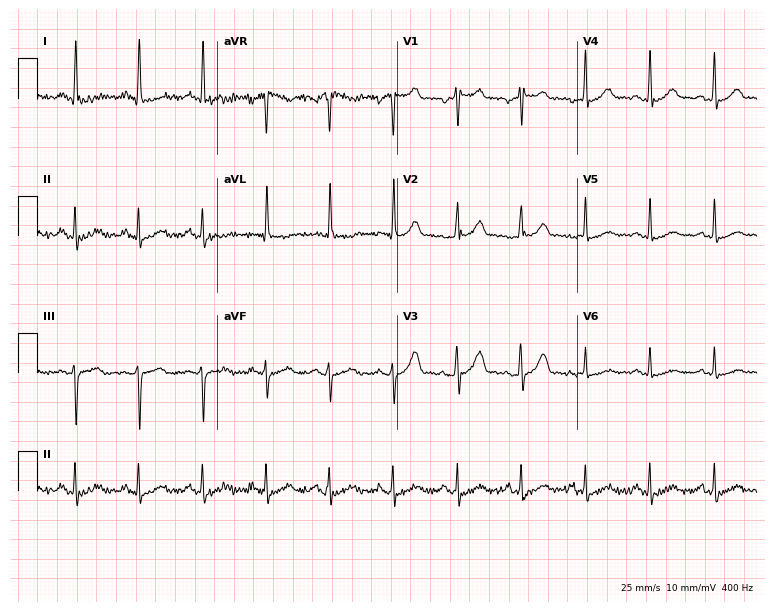
Standard 12-lead ECG recorded from a 64-year-old male (7.3-second recording at 400 Hz). Read as a normal ECG.